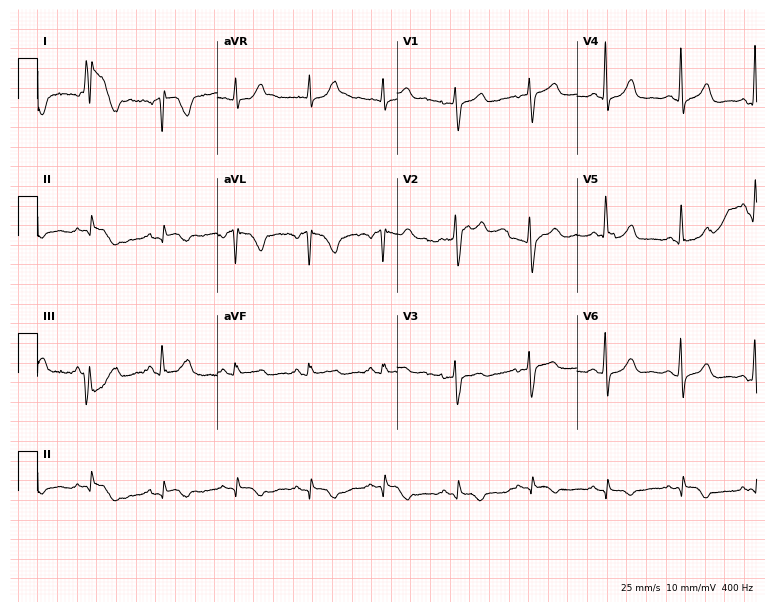
ECG (7.3-second recording at 400 Hz) — a 65-year-old female. Screened for six findings — first-degree AV block, right bundle branch block (RBBB), left bundle branch block (LBBB), sinus bradycardia, atrial fibrillation (AF), sinus tachycardia — none is recorded.